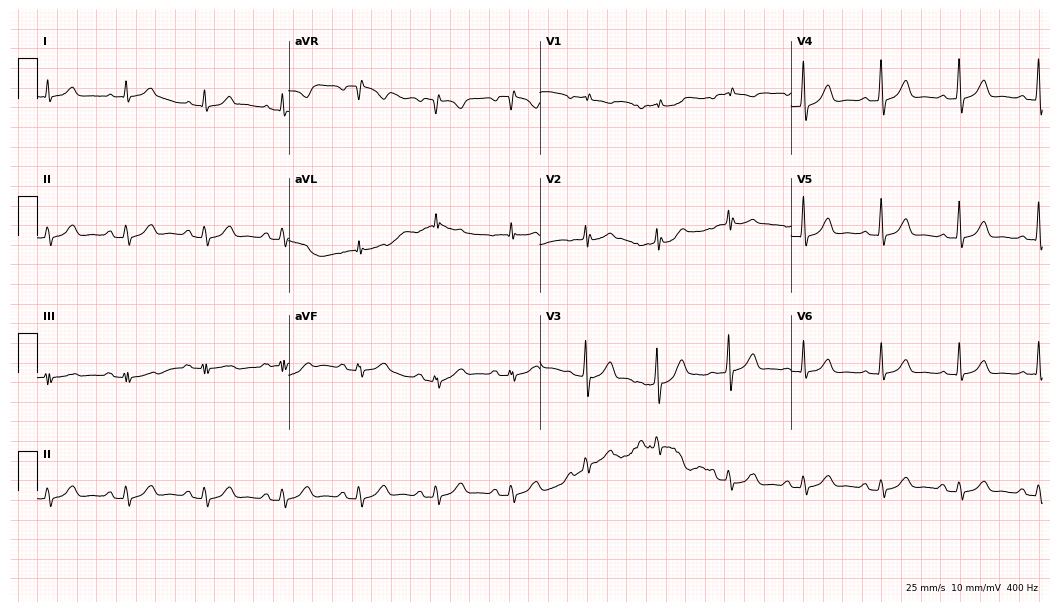
ECG (10.2-second recording at 400 Hz) — a 70-year-old man. Screened for six findings — first-degree AV block, right bundle branch block, left bundle branch block, sinus bradycardia, atrial fibrillation, sinus tachycardia — none is recorded.